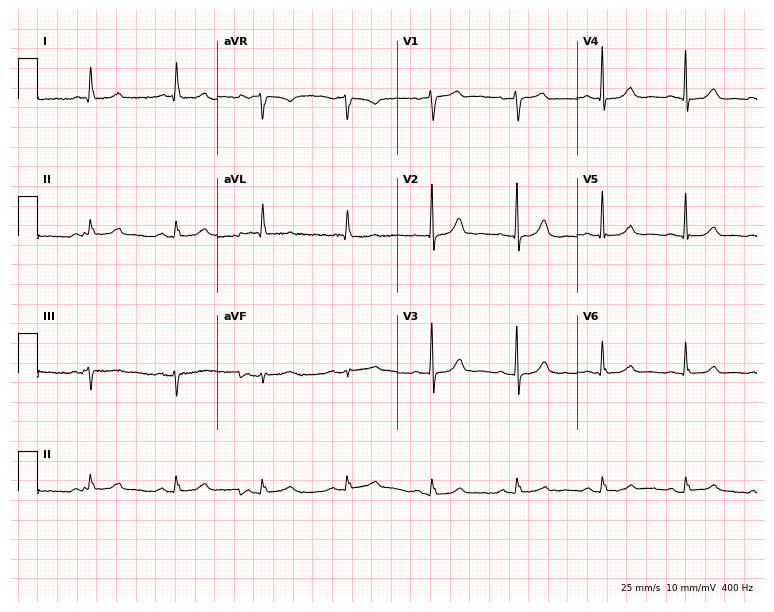
12-lead ECG from a 67-year-old woman (7.3-second recording at 400 Hz). Recorded interpretation: within normal limits.